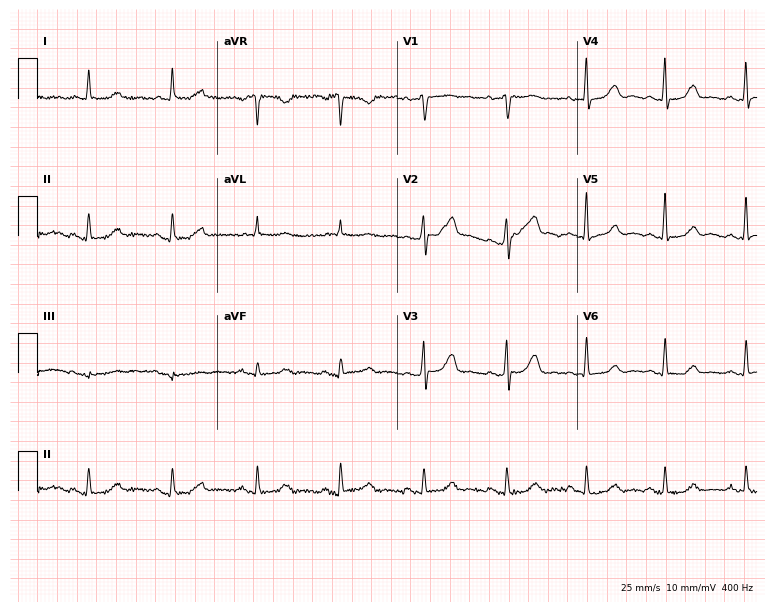
12-lead ECG from a 53-year-old woman. Labelled as a normal ECG.